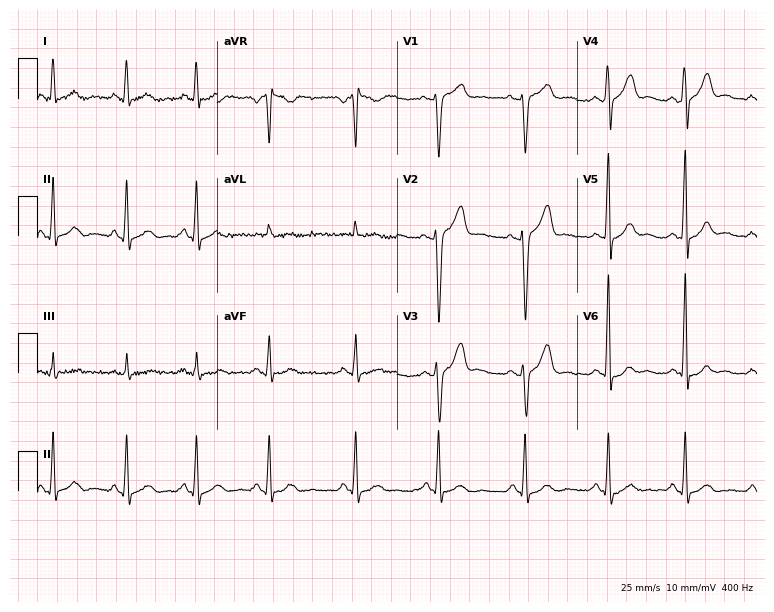
ECG (7.3-second recording at 400 Hz) — a man, 34 years old. Labelled as a normal ECG.